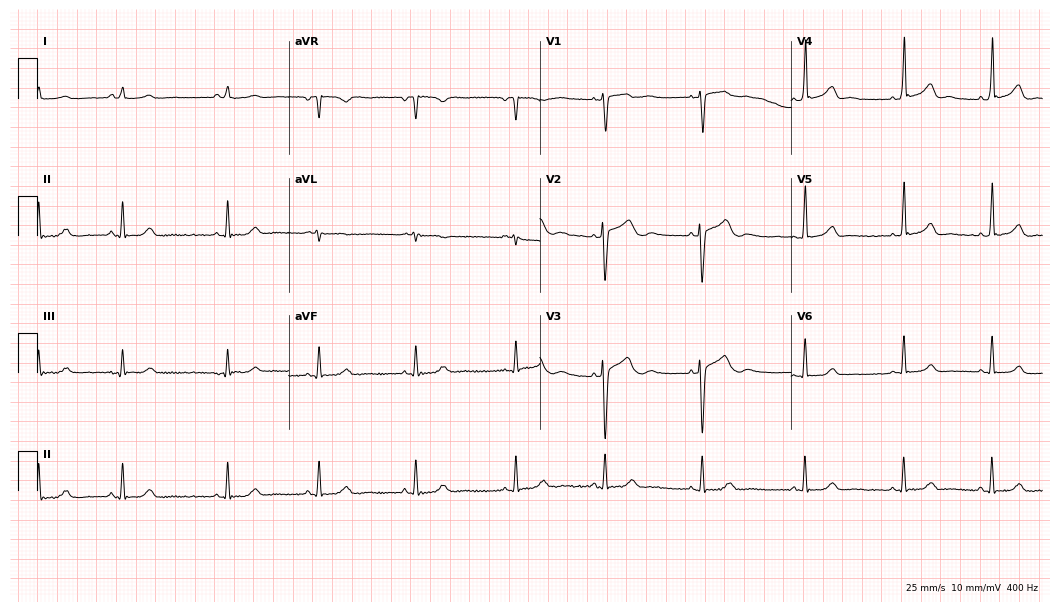
Standard 12-lead ECG recorded from a female patient, 20 years old. None of these six findings is recorded: first-degree AV block, right bundle branch block, left bundle branch block, sinus bradycardia, atrial fibrillation, sinus tachycardia. Findings outside these six are not listed.